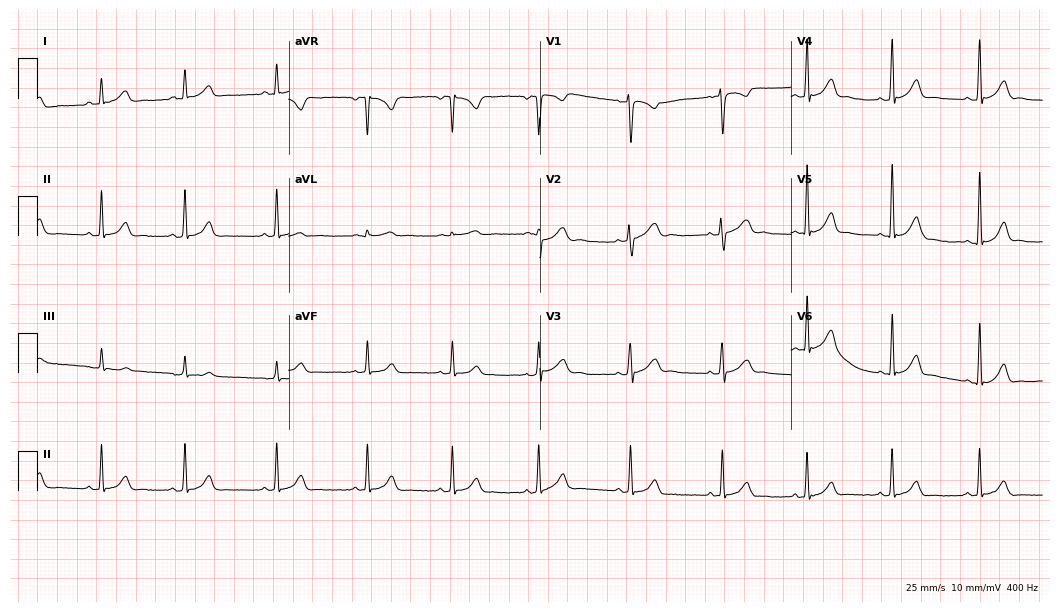
ECG (10.2-second recording at 400 Hz) — a 34-year-old female. Labelled as a normal ECG.